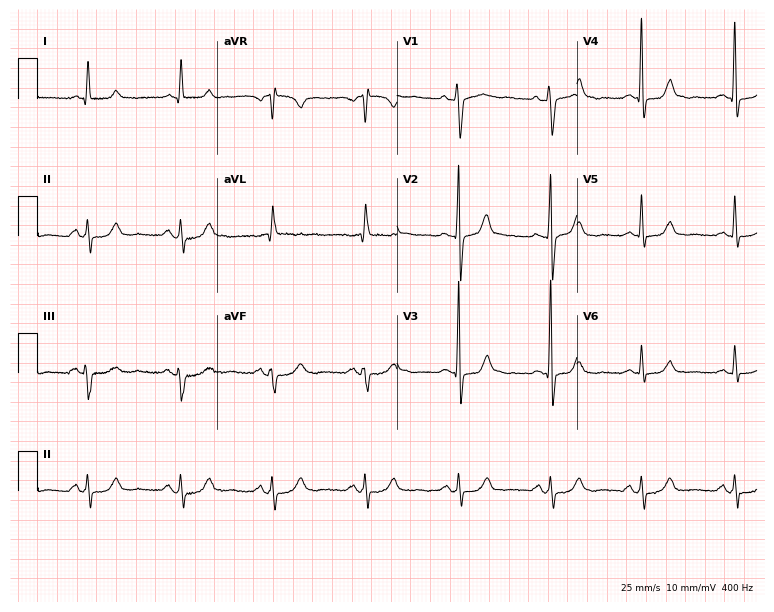
Electrocardiogram, a female patient, 61 years old. Of the six screened findings (first-degree AV block, right bundle branch block, left bundle branch block, sinus bradycardia, atrial fibrillation, sinus tachycardia), none is recorded. Only these six findings were labelled.